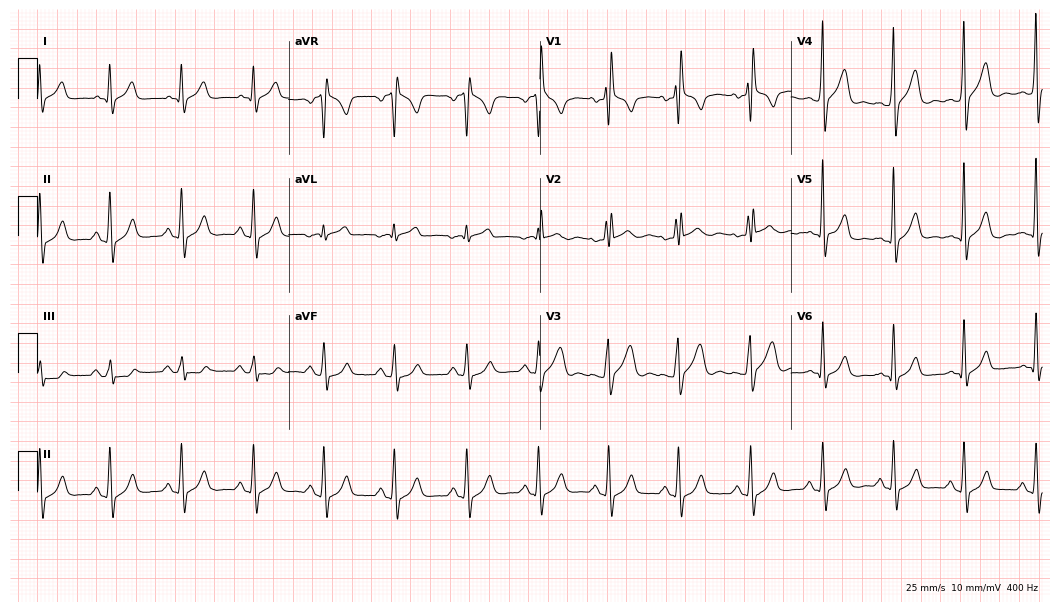
12-lead ECG from a 25-year-old male. Shows right bundle branch block.